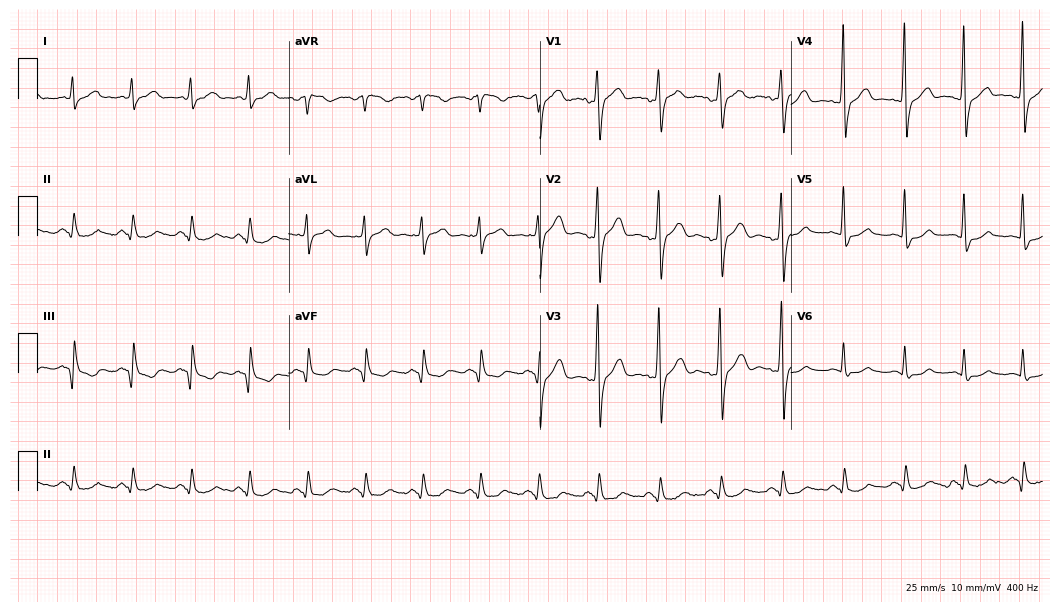
12-lead ECG from a 41-year-old man. Screened for six findings — first-degree AV block, right bundle branch block (RBBB), left bundle branch block (LBBB), sinus bradycardia, atrial fibrillation (AF), sinus tachycardia — none is recorded.